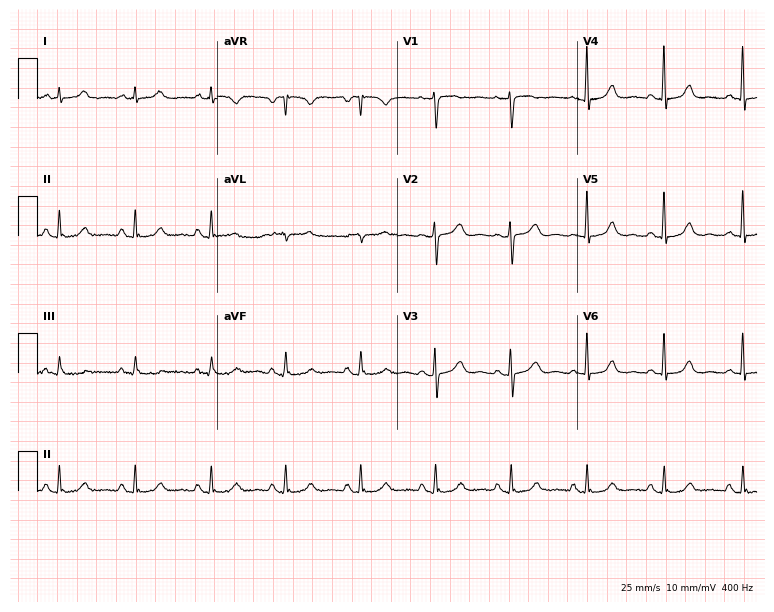
ECG (7.3-second recording at 400 Hz) — a female patient, 51 years old. Screened for six findings — first-degree AV block, right bundle branch block (RBBB), left bundle branch block (LBBB), sinus bradycardia, atrial fibrillation (AF), sinus tachycardia — none is recorded.